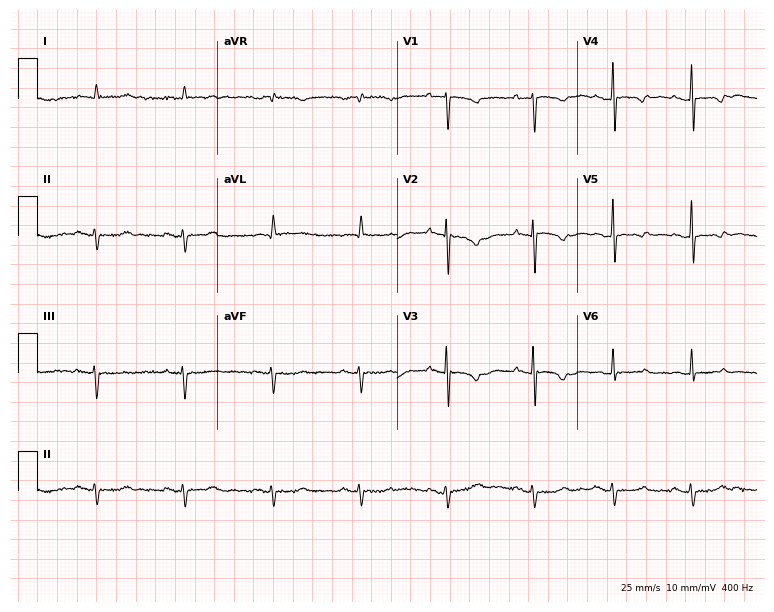
Resting 12-lead electrocardiogram. Patient: a female, 81 years old. None of these six findings is recorded: first-degree AV block, right bundle branch block, left bundle branch block, sinus bradycardia, atrial fibrillation, sinus tachycardia. Only these six findings were labelled.